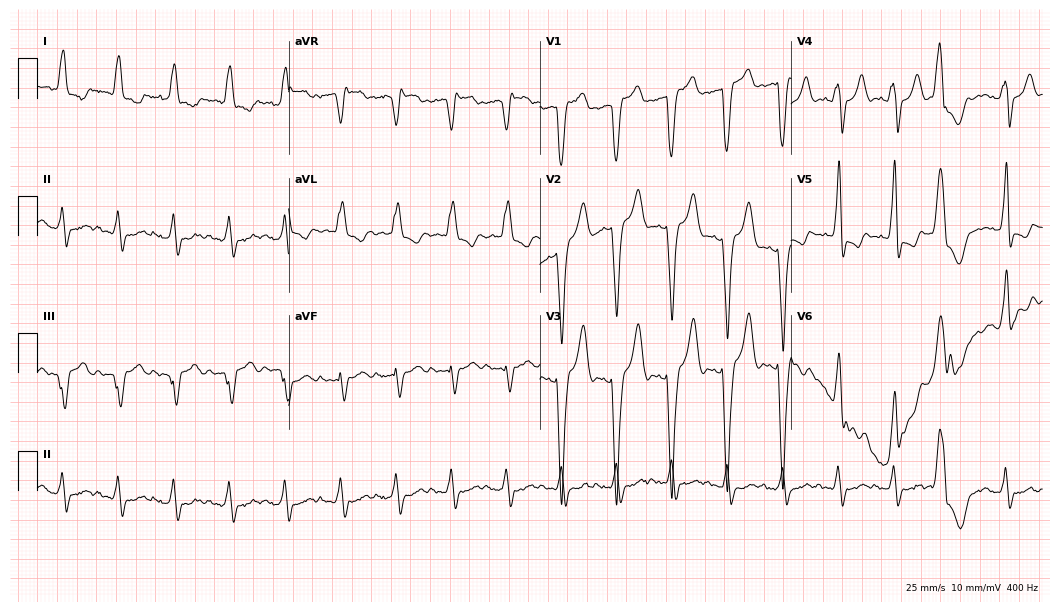
12-lead ECG (10.2-second recording at 400 Hz) from a man, 82 years old. Findings include left bundle branch block (LBBB), sinus tachycardia (a sinus rate of 100 beats per minute or more).